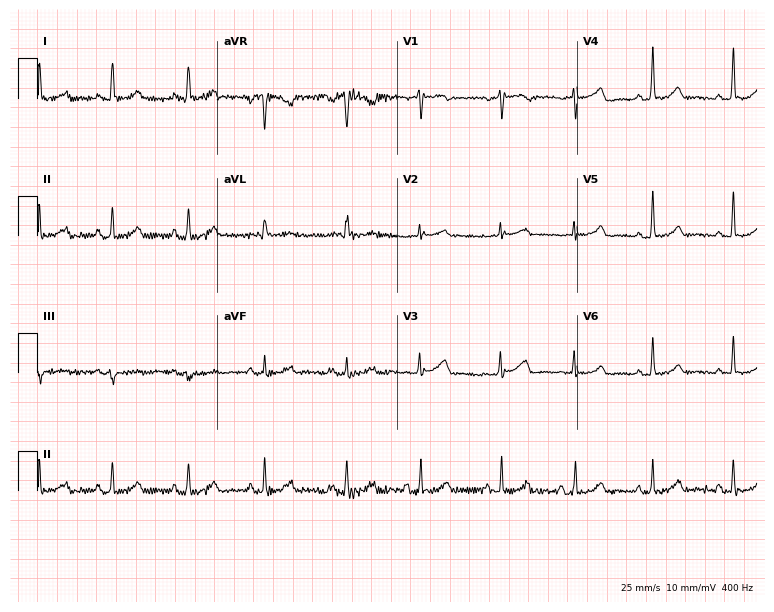
12-lead ECG from a 56-year-old female patient. Labelled as a normal ECG.